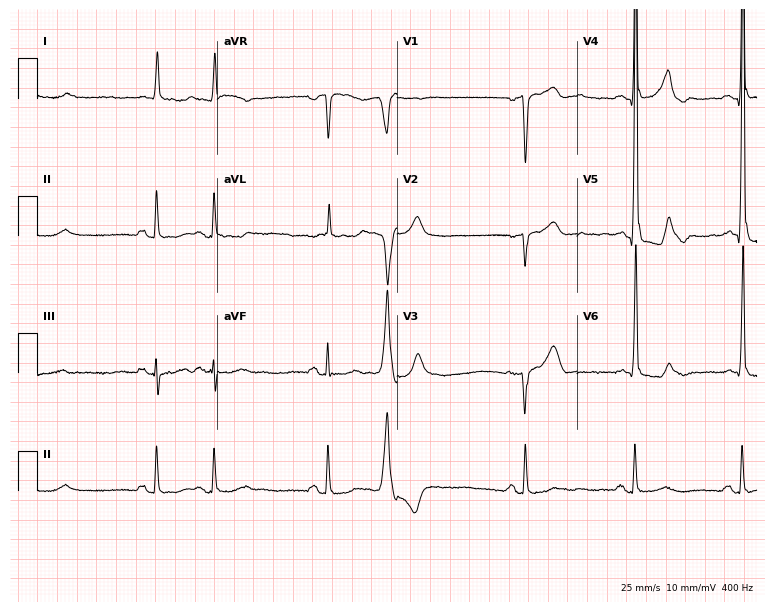
12-lead ECG from a male patient, 66 years old. Screened for six findings — first-degree AV block, right bundle branch block (RBBB), left bundle branch block (LBBB), sinus bradycardia, atrial fibrillation (AF), sinus tachycardia — none is recorded.